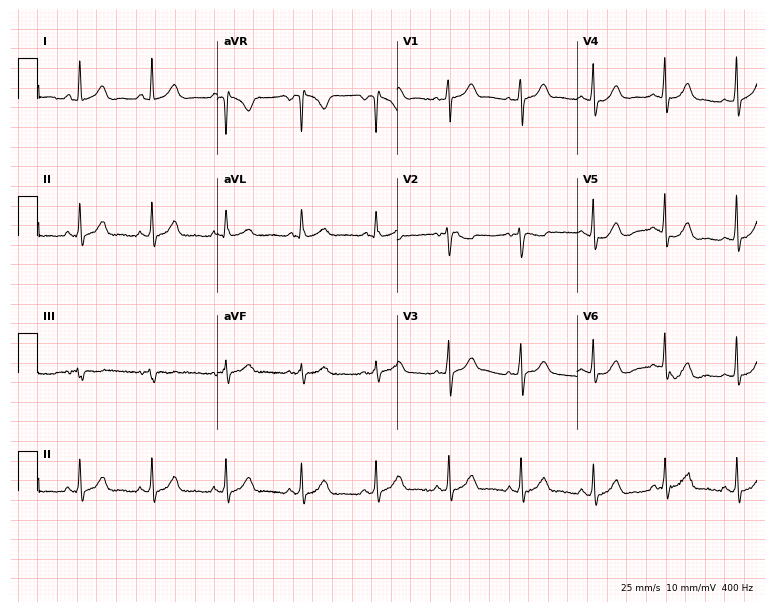
12-lead ECG from a woman, 41 years old (7.3-second recording at 400 Hz). Recorded interpretation: within normal limits.